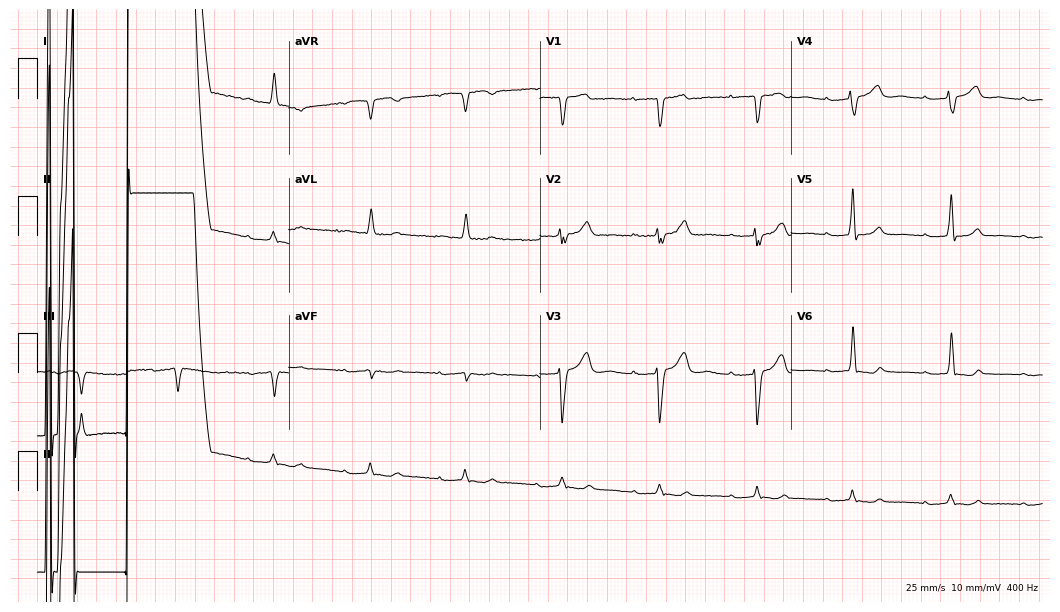
Standard 12-lead ECG recorded from a woman, 83 years old. None of these six findings is recorded: first-degree AV block, right bundle branch block (RBBB), left bundle branch block (LBBB), sinus bradycardia, atrial fibrillation (AF), sinus tachycardia. Other findings, if any, are not listed.